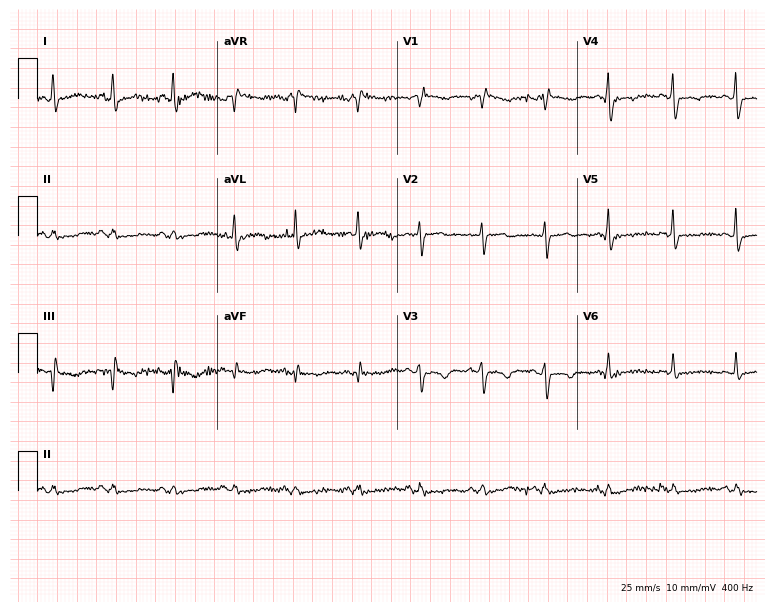
Electrocardiogram (7.3-second recording at 400 Hz), a female patient, 80 years old. Of the six screened findings (first-degree AV block, right bundle branch block, left bundle branch block, sinus bradycardia, atrial fibrillation, sinus tachycardia), none is recorded.